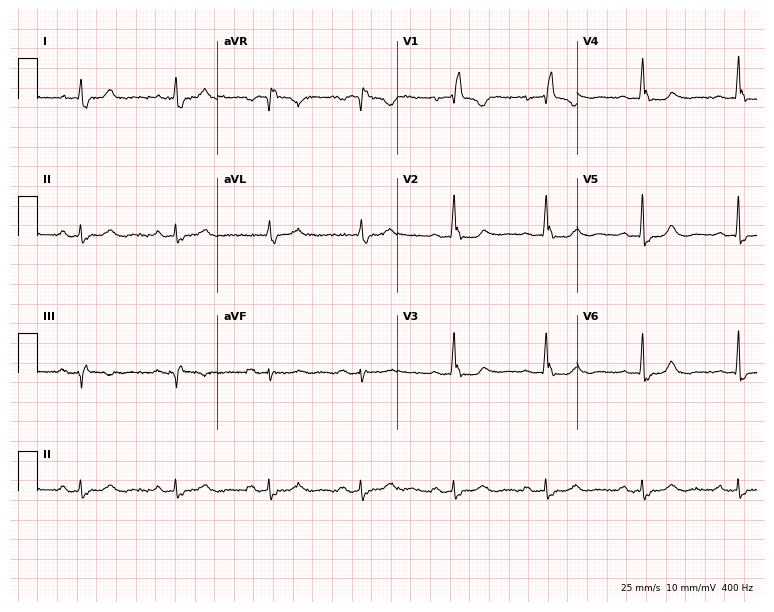
Standard 12-lead ECG recorded from a 72-year-old woman. The tracing shows first-degree AV block, right bundle branch block.